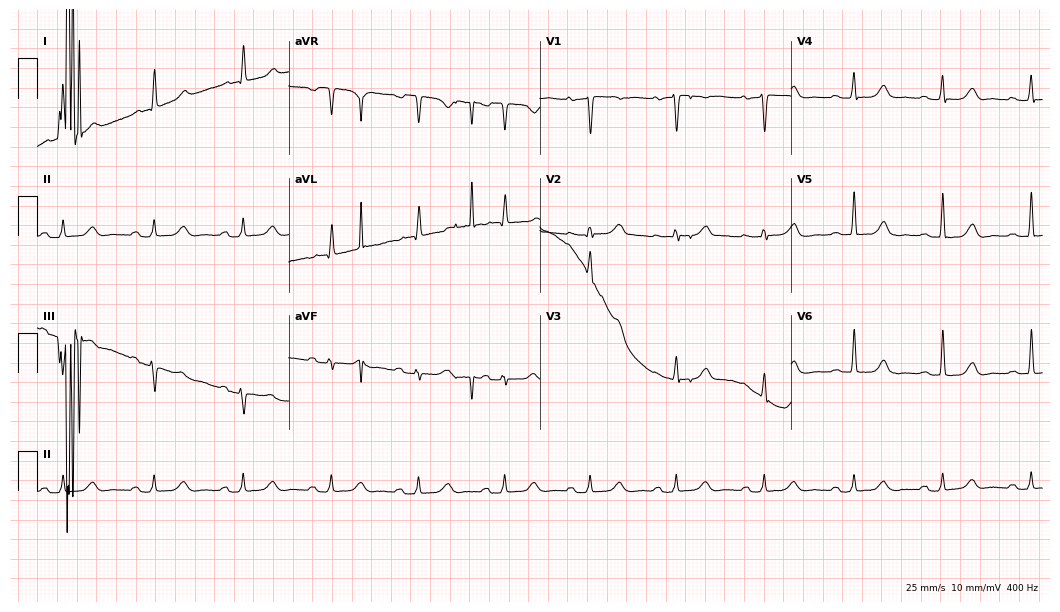
ECG — a 73-year-old woman. Labelled as a normal ECG.